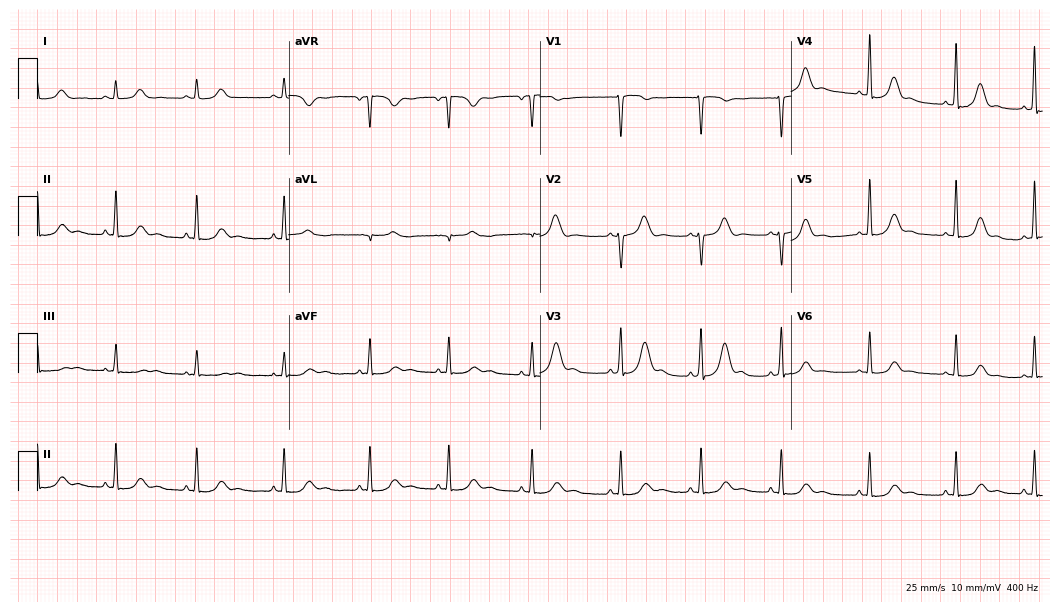
Resting 12-lead electrocardiogram (10.2-second recording at 400 Hz). Patient: a 27-year-old woman. Read as a normal ECG.